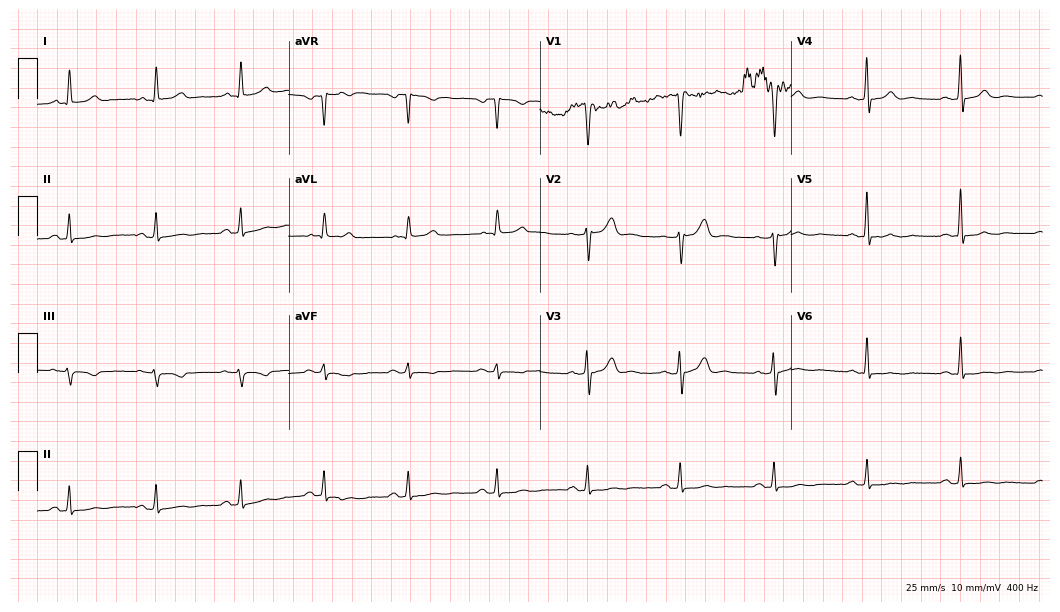
Standard 12-lead ECG recorded from a 52-year-old male patient (10.2-second recording at 400 Hz). None of these six findings is recorded: first-degree AV block, right bundle branch block, left bundle branch block, sinus bradycardia, atrial fibrillation, sinus tachycardia. Findings outside these six are not listed.